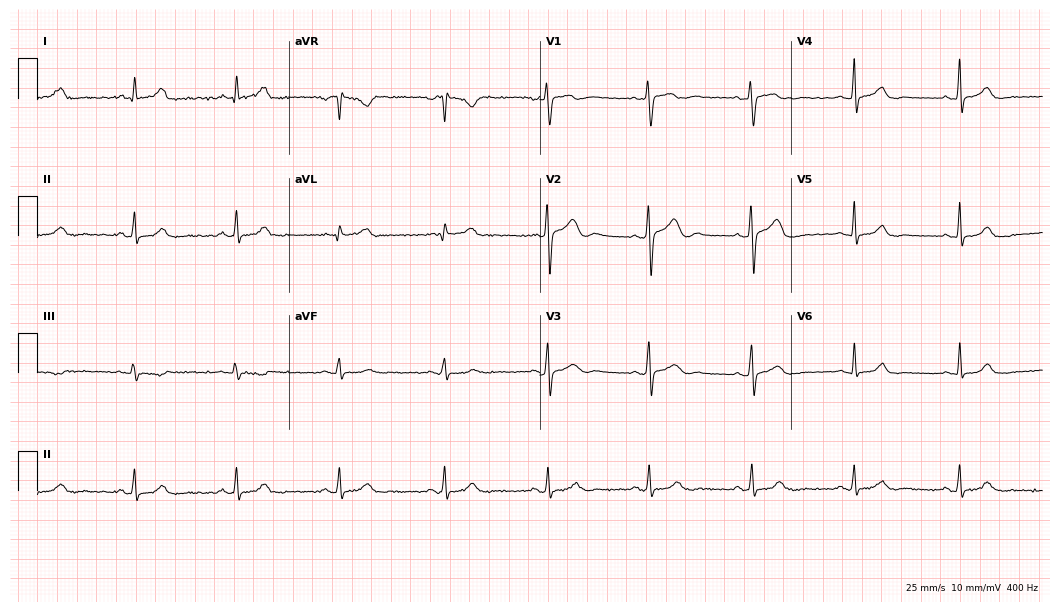
Standard 12-lead ECG recorded from a female, 30 years old. None of these six findings is recorded: first-degree AV block, right bundle branch block, left bundle branch block, sinus bradycardia, atrial fibrillation, sinus tachycardia.